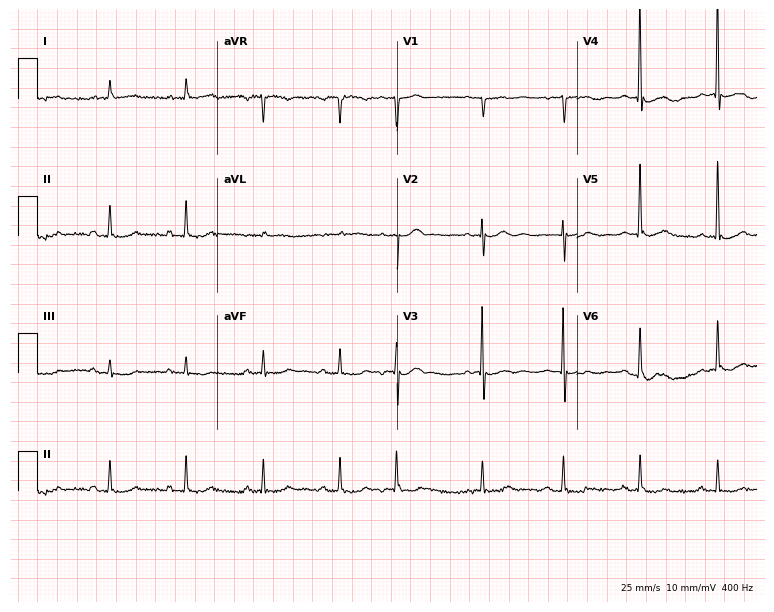
Electrocardiogram (7.3-second recording at 400 Hz), an 85-year-old man. Of the six screened findings (first-degree AV block, right bundle branch block, left bundle branch block, sinus bradycardia, atrial fibrillation, sinus tachycardia), none is recorded.